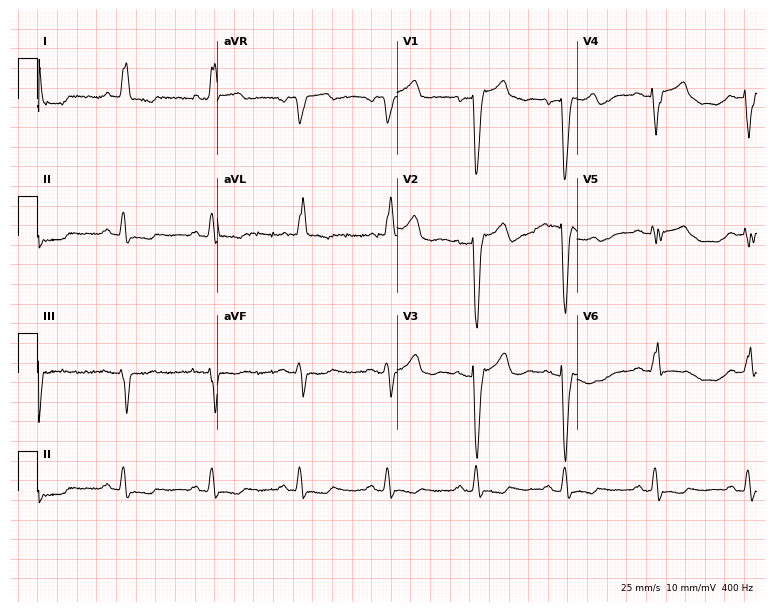
Electrocardiogram, a 69-year-old female. Interpretation includes left bundle branch block.